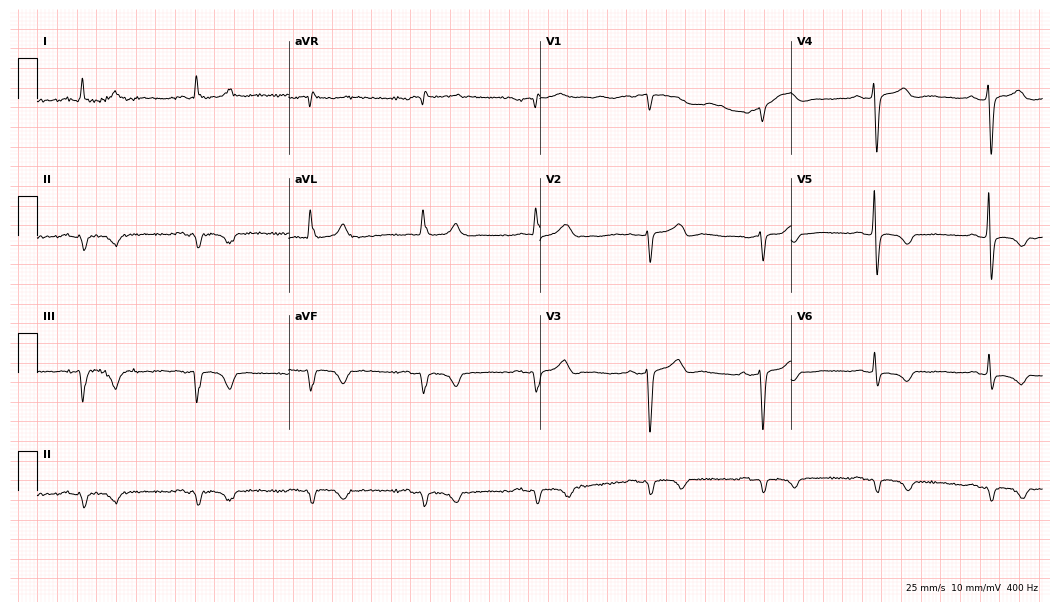
ECG — a male, 75 years old. Screened for six findings — first-degree AV block, right bundle branch block, left bundle branch block, sinus bradycardia, atrial fibrillation, sinus tachycardia — none is recorded.